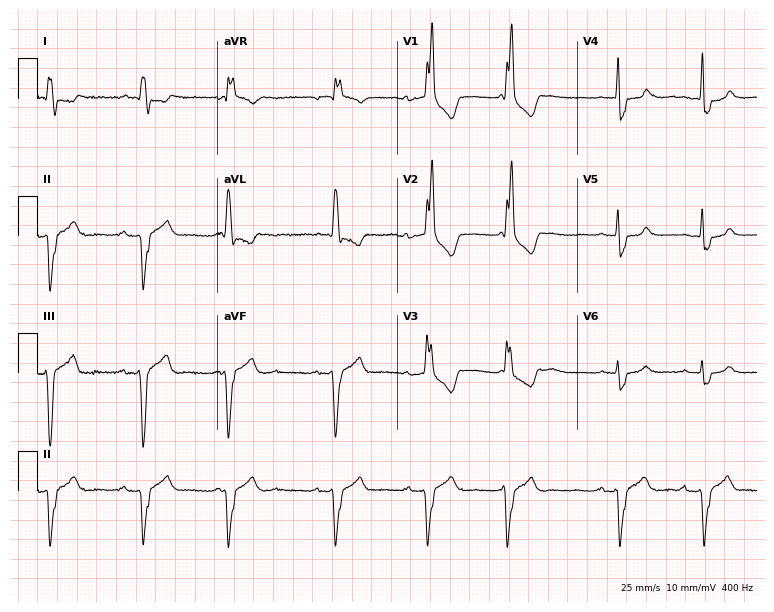
ECG — a woman, 84 years old. Findings include right bundle branch block.